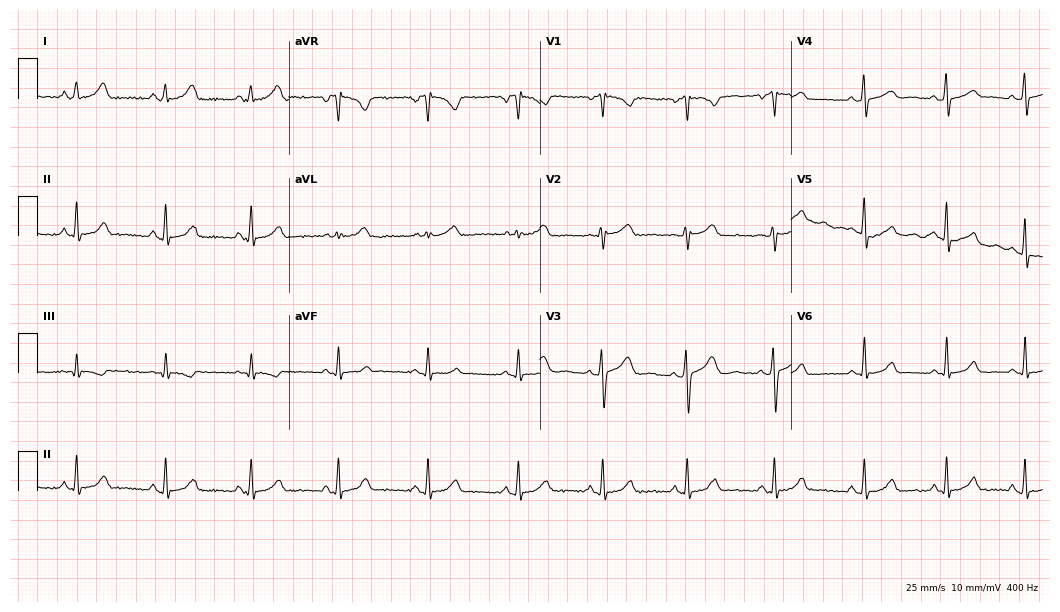
12-lead ECG (10.2-second recording at 400 Hz) from a woman, 28 years old. Labelled as a normal ECG.